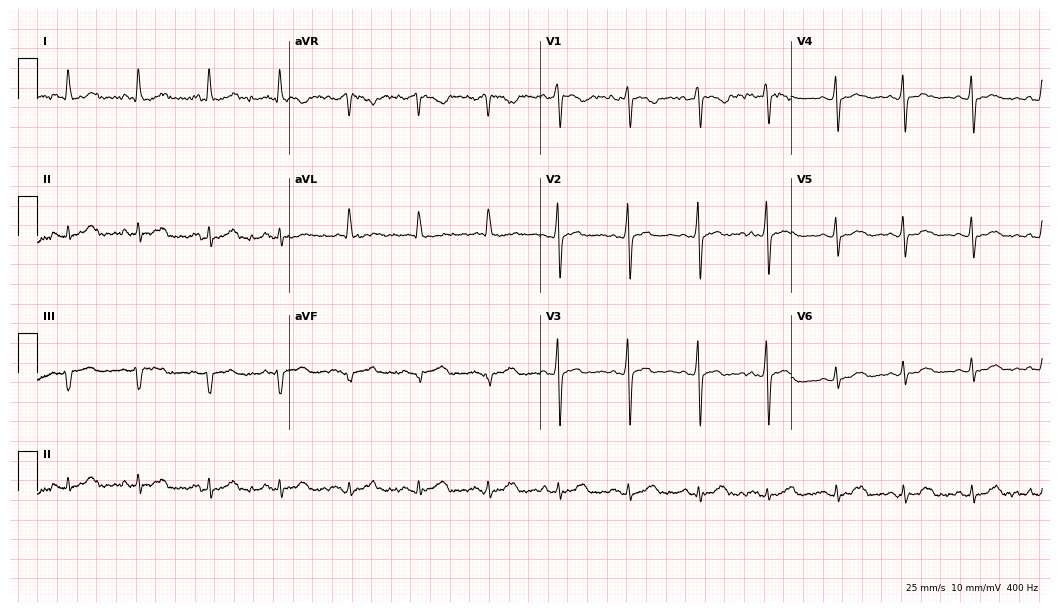
Resting 12-lead electrocardiogram (10.2-second recording at 400 Hz). Patient: a 53-year-old female. None of these six findings is recorded: first-degree AV block, right bundle branch block, left bundle branch block, sinus bradycardia, atrial fibrillation, sinus tachycardia.